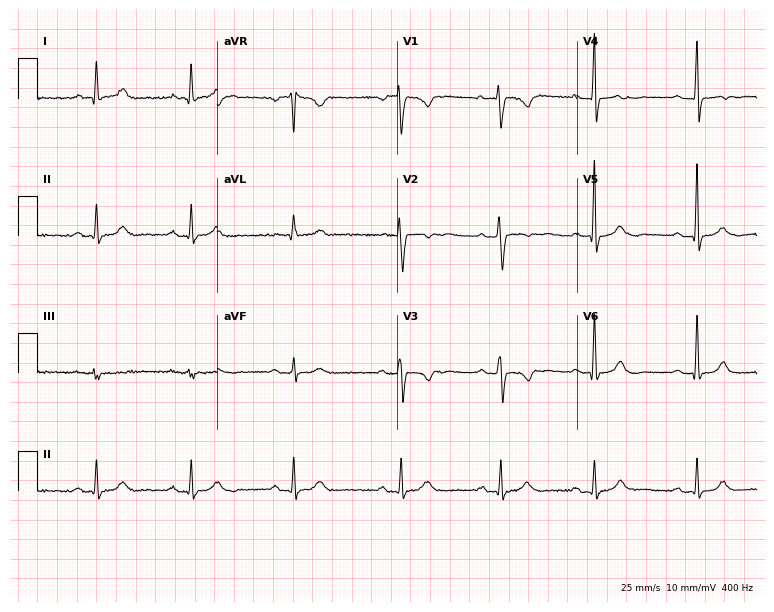
12-lead ECG from a female, 34 years old (7.3-second recording at 400 Hz). No first-degree AV block, right bundle branch block, left bundle branch block, sinus bradycardia, atrial fibrillation or sinus tachycardia recorded for this tracing.